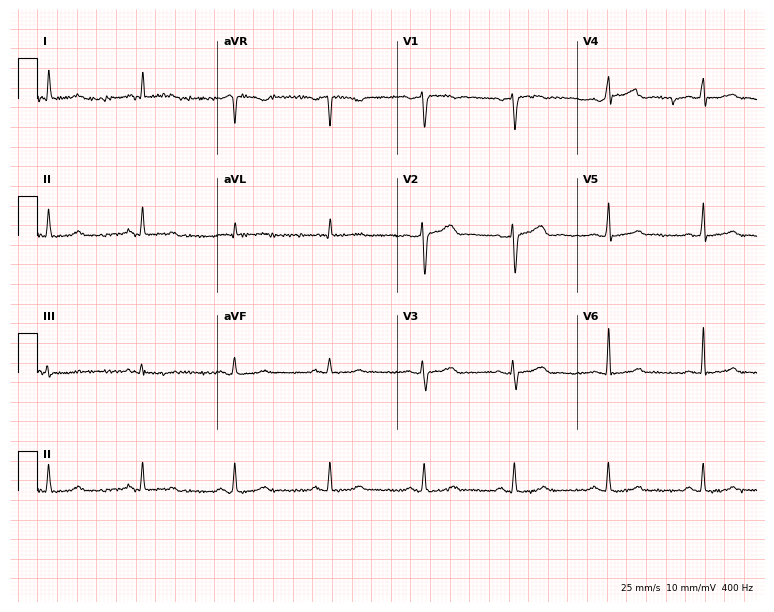
Electrocardiogram, a male patient, 42 years old. Overall reading on record: normal ECG.